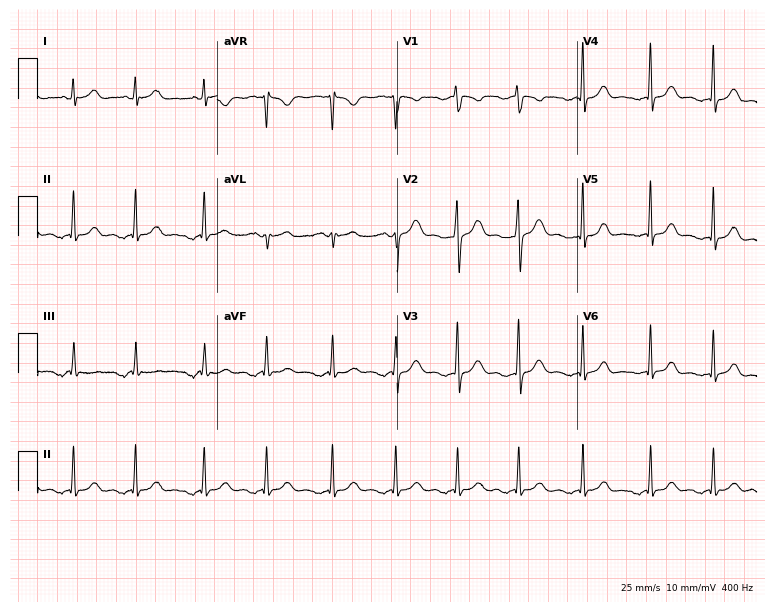
12-lead ECG from a 31-year-old woman. Screened for six findings — first-degree AV block, right bundle branch block (RBBB), left bundle branch block (LBBB), sinus bradycardia, atrial fibrillation (AF), sinus tachycardia — none is recorded.